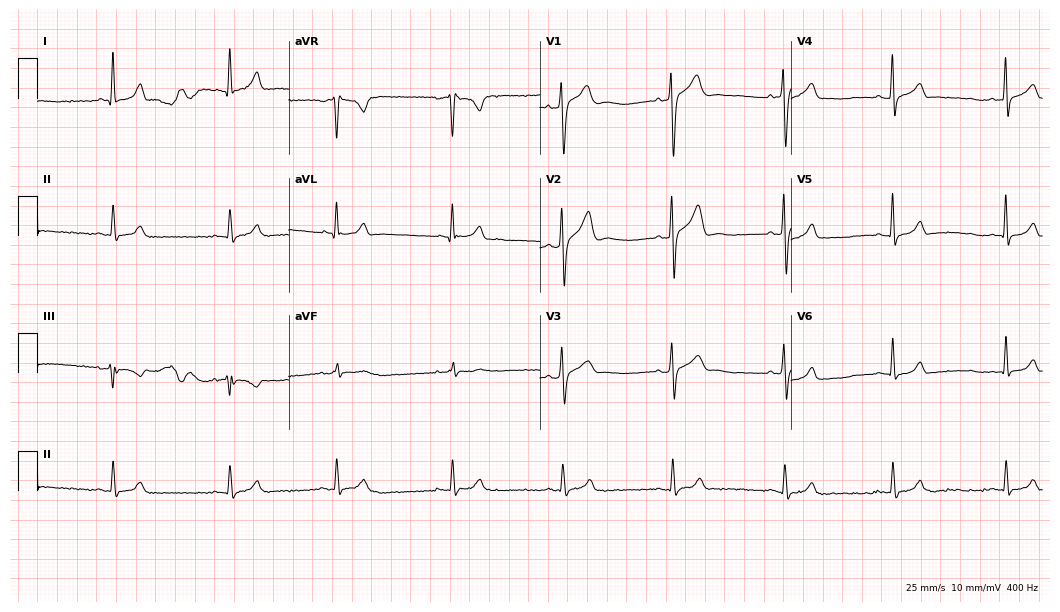
Resting 12-lead electrocardiogram (10.2-second recording at 400 Hz). Patient: a 25-year-old man. None of these six findings is recorded: first-degree AV block, right bundle branch block, left bundle branch block, sinus bradycardia, atrial fibrillation, sinus tachycardia. Findings outside these six are not listed.